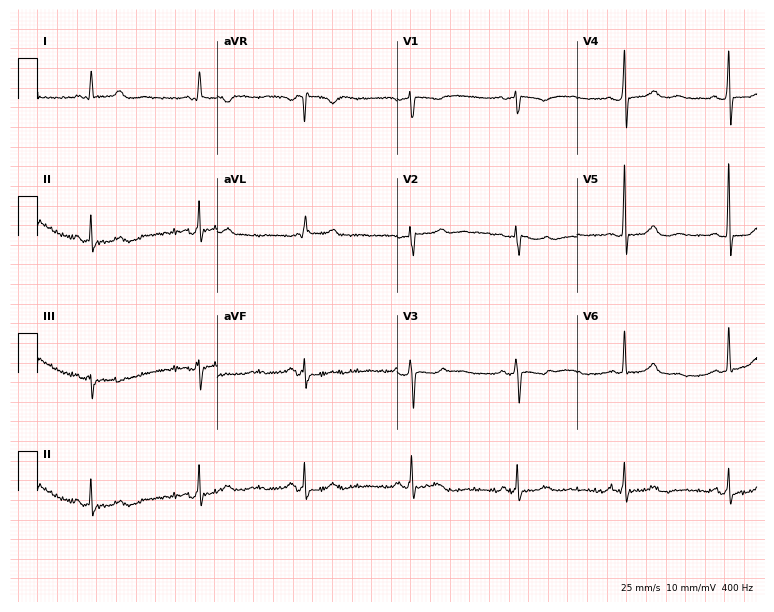
Resting 12-lead electrocardiogram (7.3-second recording at 400 Hz). Patient: a female, 62 years old. None of these six findings is recorded: first-degree AV block, right bundle branch block, left bundle branch block, sinus bradycardia, atrial fibrillation, sinus tachycardia.